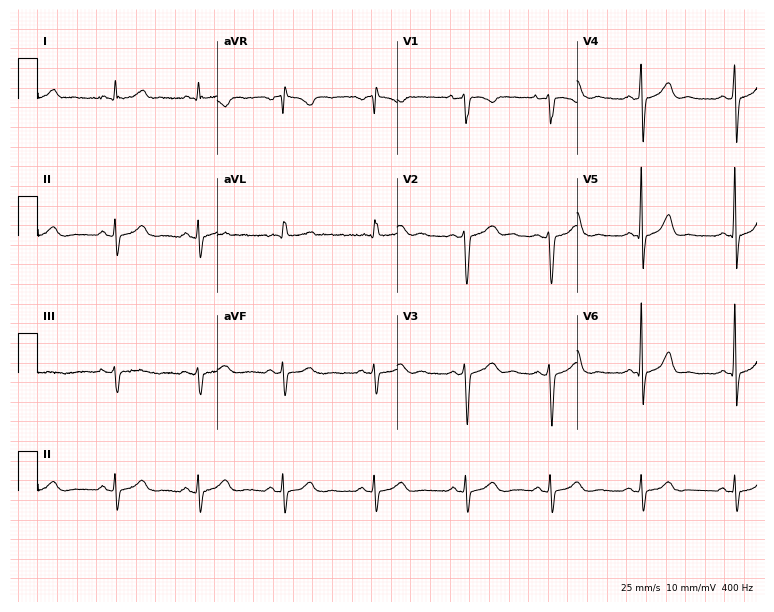
Electrocardiogram, a 28-year-old woman. Of the six screened findings (first-degree AV block, right bundle branch block, left bundle branch block, sinus bradycardia, atrial fibrillation, sinus tachycardia), none is recorded. Findings outside these six are not listed.